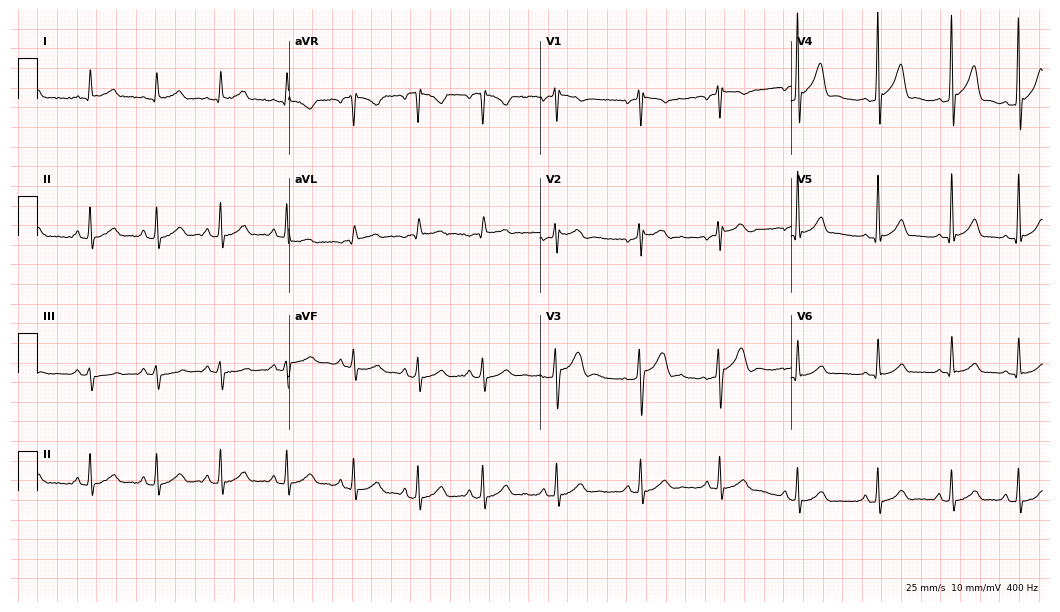
Electrocardiogram (10.2-second recording at 400 Hz), a 20-year-old man. Overall reading on record: normal ECG.